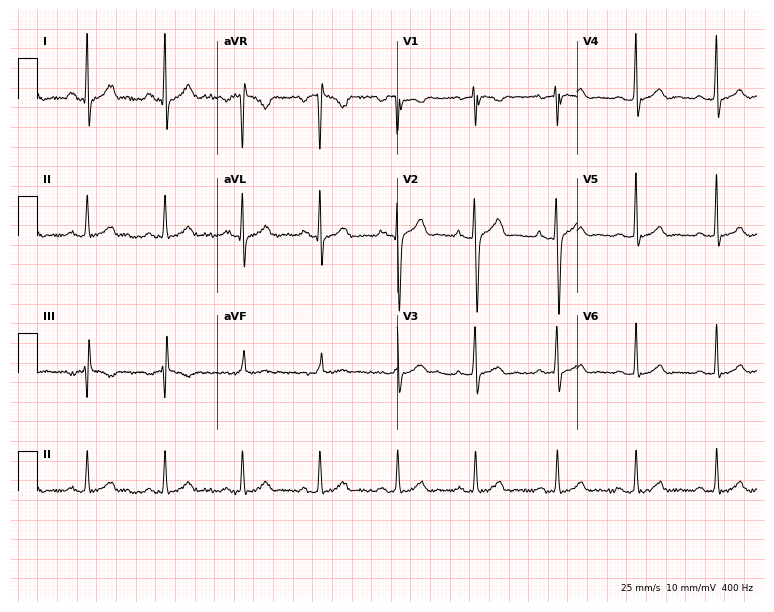
ECG — a man, 31 years old. Screened for six findings — first-degree AV block, right bundle branch block, left bundle branch block, sinus bradycardia, atrial fibrillation, sinus tachycardia — none is recorded. Only these six findings were labelled.